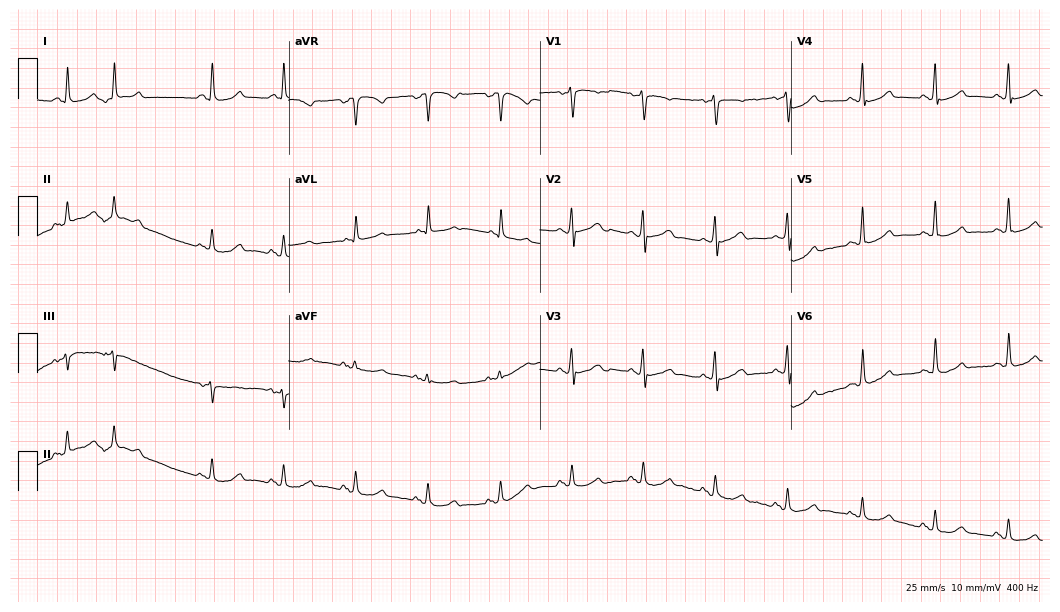
12-lead ECG from a 53-year-old male (10.2-second recording at 400 Hz). No first-degree AV block, right bundle branch block, left bundle branch block, sinus bradycardia, atrial fibrillation or sinus tachycardia recorded for this tracing.